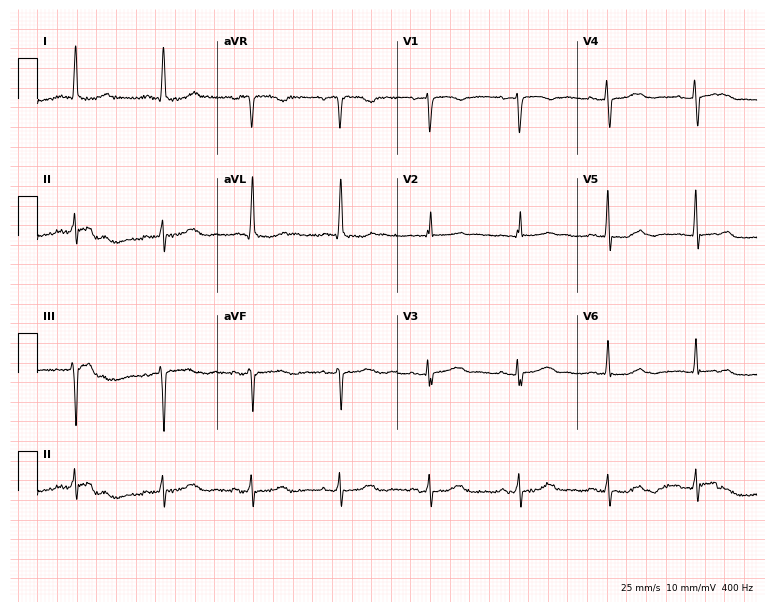
Resting 12-lead electrocardiogram (7.3-second recording at 400 Hz). Patient: a 69-year-old woman. Read as a normal ECG.